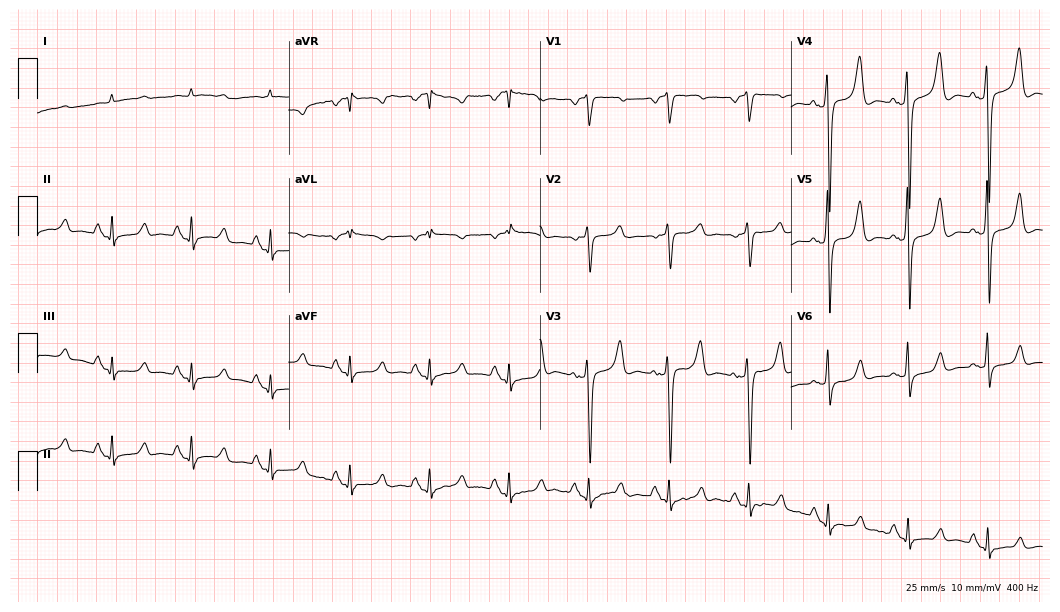
Electrocardiogram (10.2-second recording at 400 Hz), a male, 76 years old. Of the six screened findings (first-degree AV block, right bundle branch block, left bundle branch block, sinus bradycardia, atrial fibrillation, sinus tachycardia), none is recorded. Only these six findings were labelled.